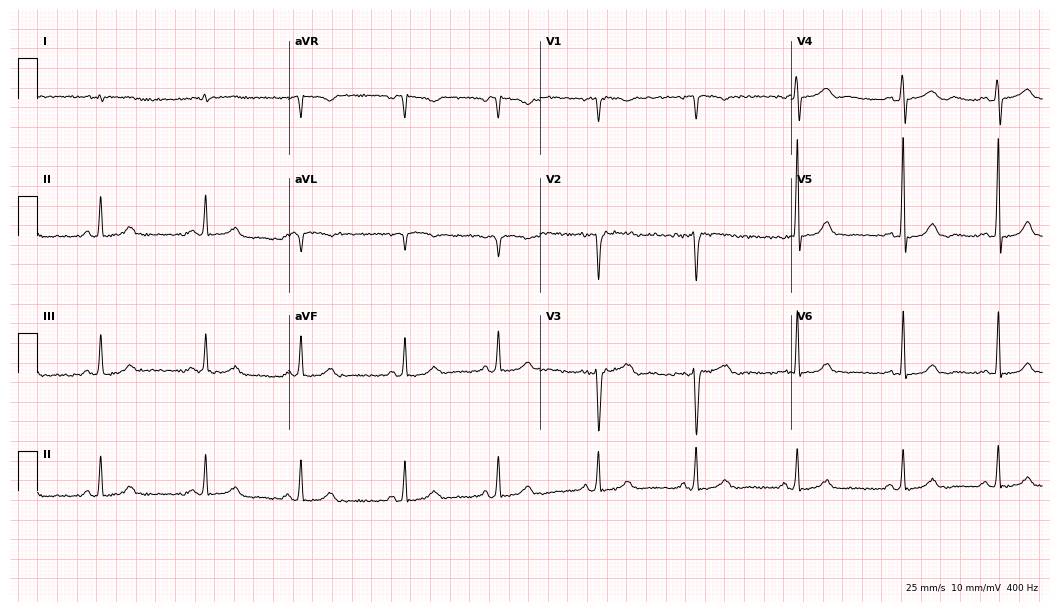
Standard 12-lead ECG recorded from a 33-year-old female (10.2-second recording at 400 Hz). None of these six findings is recorded: first-degree AV block, right bundle branch block, left bundle branch block, sinus bradycardia, atrial fibrillation, sinus tachycardia. Only these six findings were labelled.